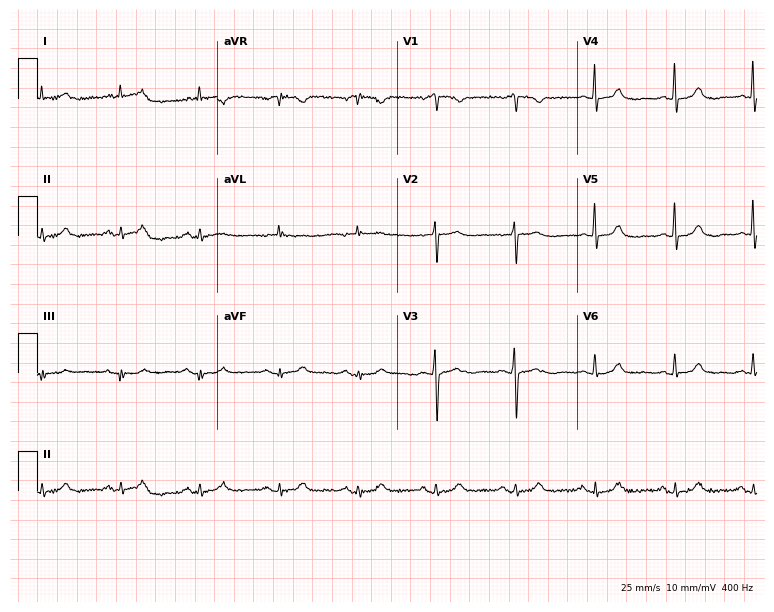
12-lead ECG (7.3-second recording at 400 Hz) from an 81-year-old female patient. Labelled as a normal ECG.